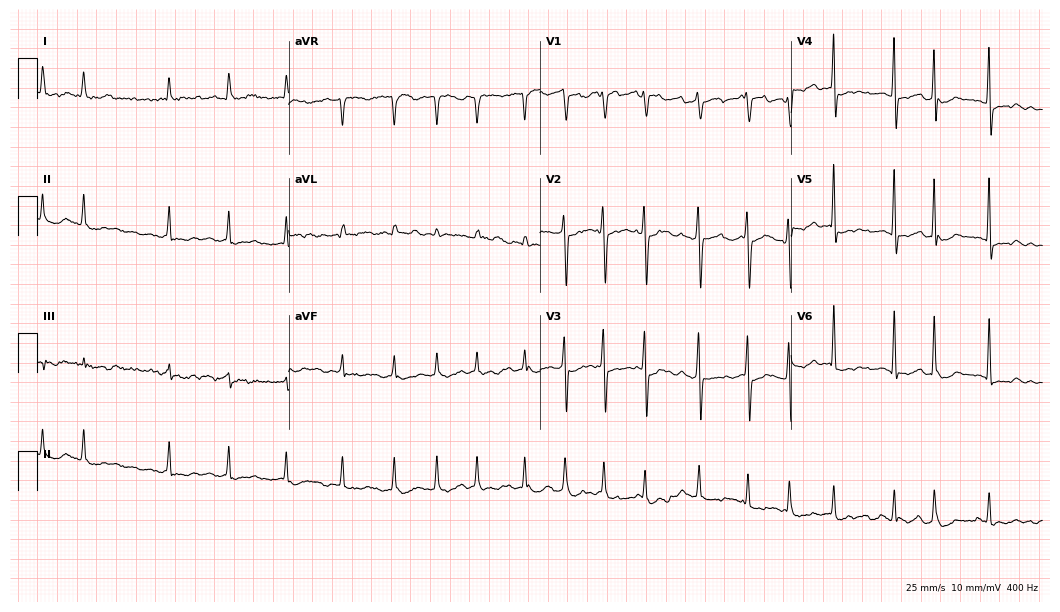
12-lead ECG (10.2-second recording at 400 Hz) from a female, 74 years old. Findings include atrial fibrillation.